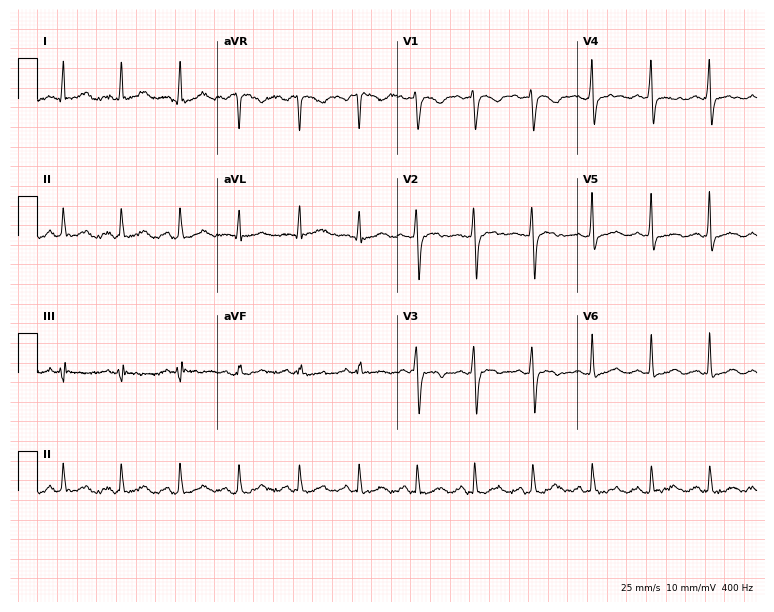
Resting 12-lead electrocardiogram (7.3-second recording at 400 Hz). Patient: a 37-year-old female. None of these six findings is recorded: first-degree AV block, right bundle branch block, left bundle branch block, sinus bradycardia, atrial fibrillation, sinus tachycardia. Other findings, if any, are not listed.